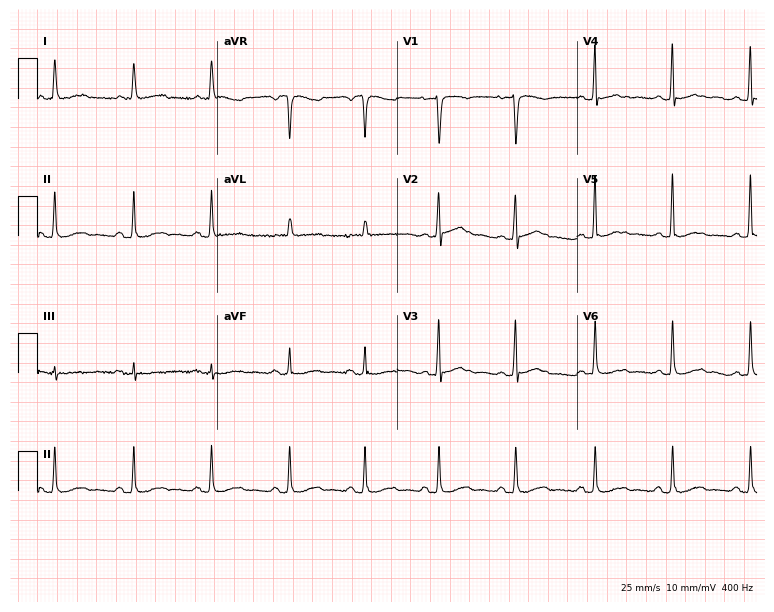
12-lead ECG from a 58-year-old female patient. No first-degree AV block, right bundle branch block, left bundle branch block, sinus bradycardia, atrial fibrillation or sinus tachycardia recorded for this tracing.